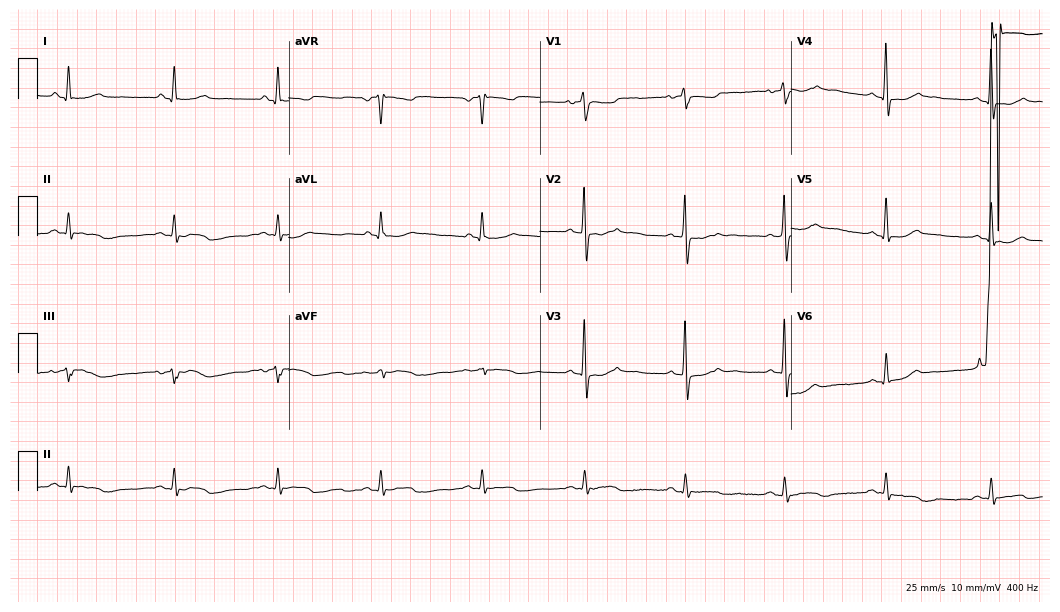
12-lead ECG from a female patient, 67 years old. Recorded interpretation: within normal limits.